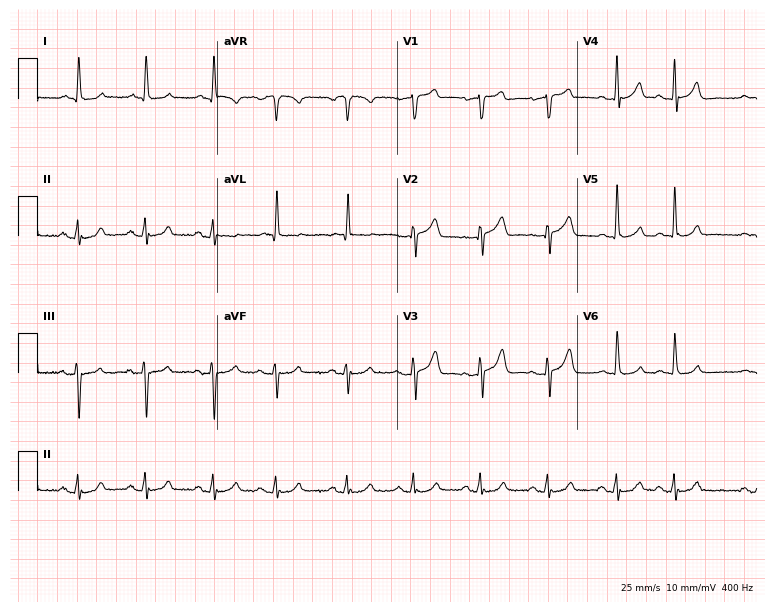
12-lead ECG from a man, 69 years old. Recorded interpretation: within normal limits.